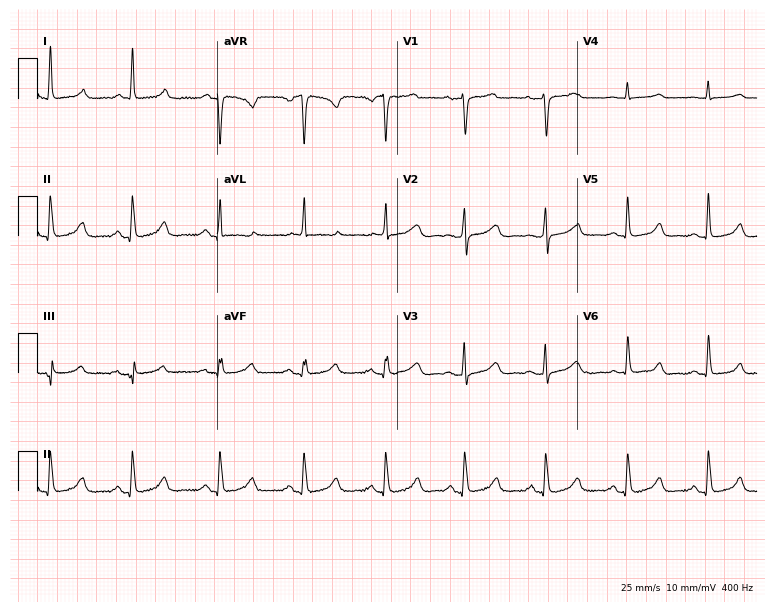
Resting 12-lead electrocardiogram. Patient: a female, 45 years old. Read as a normal ECG.